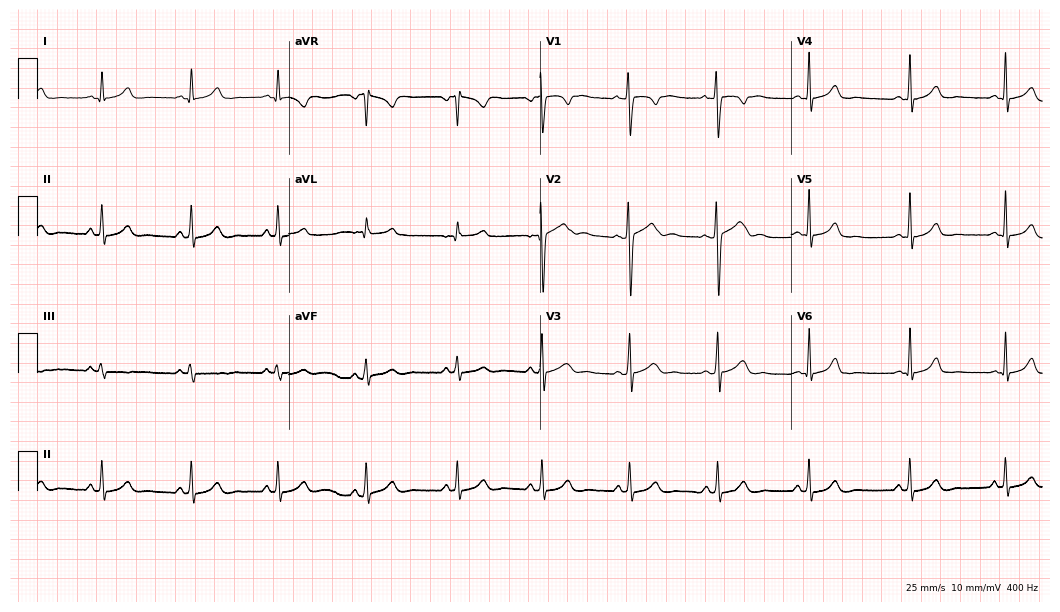
12-lead ECG from a 29-year-old female patient (10.2-second recording at 400 Hz). No first-degree AV block, right bundle branch block (RBBB), left bundle branch block (LBBB), sinus bradycardia, atrial fibrillation (AF) or sinus tachycardia recorded for this tracing.